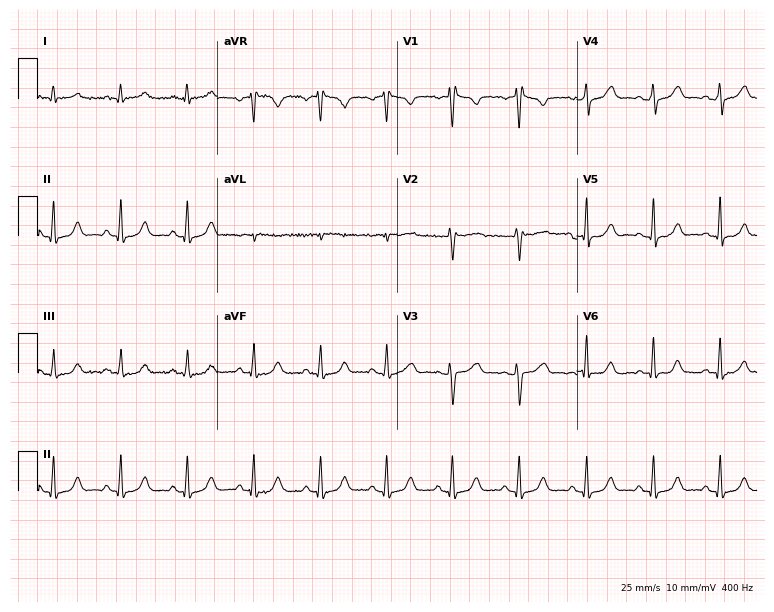
12-lead ECG from a 55-year-old female patient. No first-degree AV block, right bundle branch block, left bundle branch block, sinus bradycardia, atrial fibrillation or sinus tachycardia recorded for this tracing.